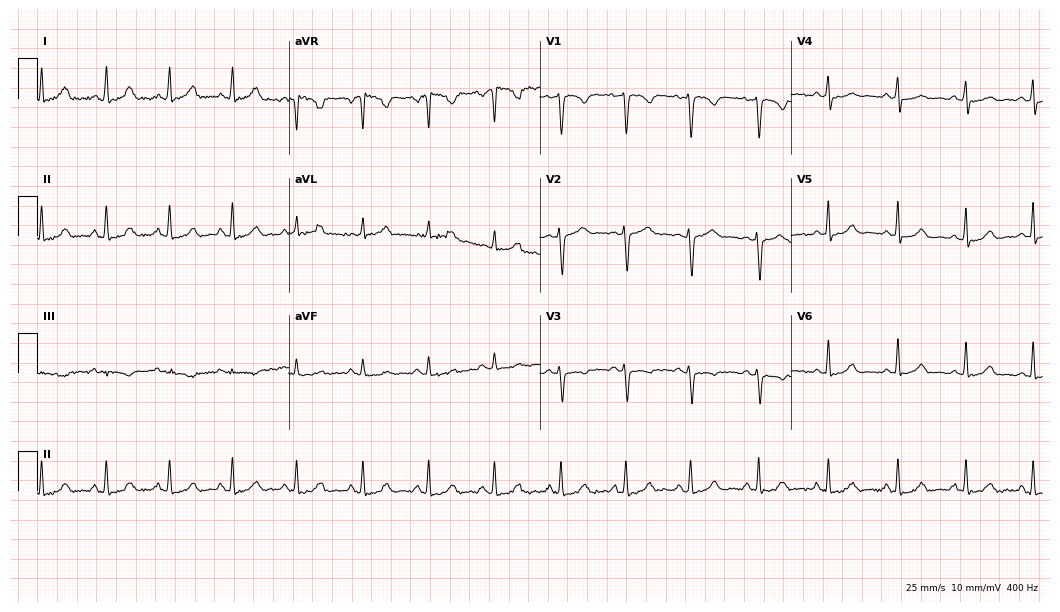
Resting 12-lead electrocardiogram. Patient: a 36-year-old female. Read as a normal ECG.